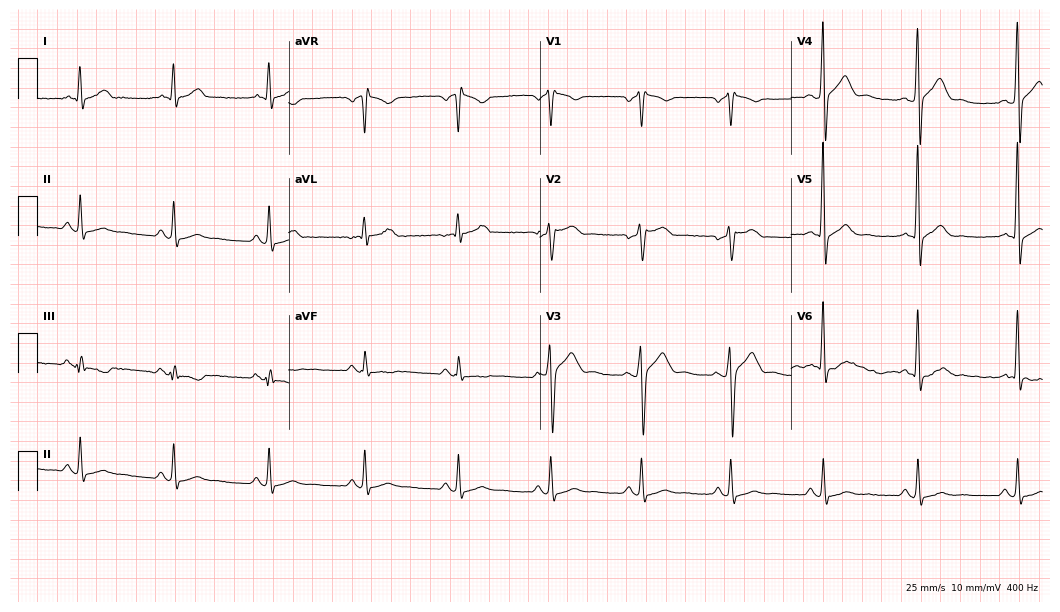
Standard 12-lead ECG recorded from a 33-year-old man (10.2-second recording at 400 Hz). None of these six findings is recorded: first-degree AV block, right bundle branch block (RBBB), left bundle branch block (LBBB), sinus bradycardia, atrial fibrillation (AF), sinus tachycardia. Other findings, if any, are not listed.